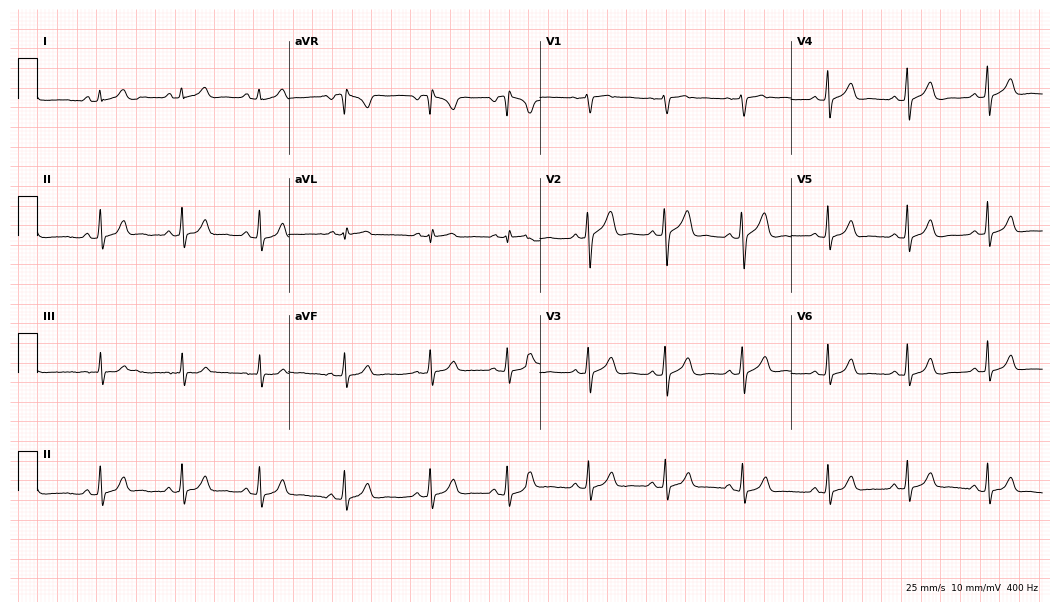
ECG (10.2-second recording at 400 Hz) — an 18-year-old female patient. Labelled as a normal ECG.